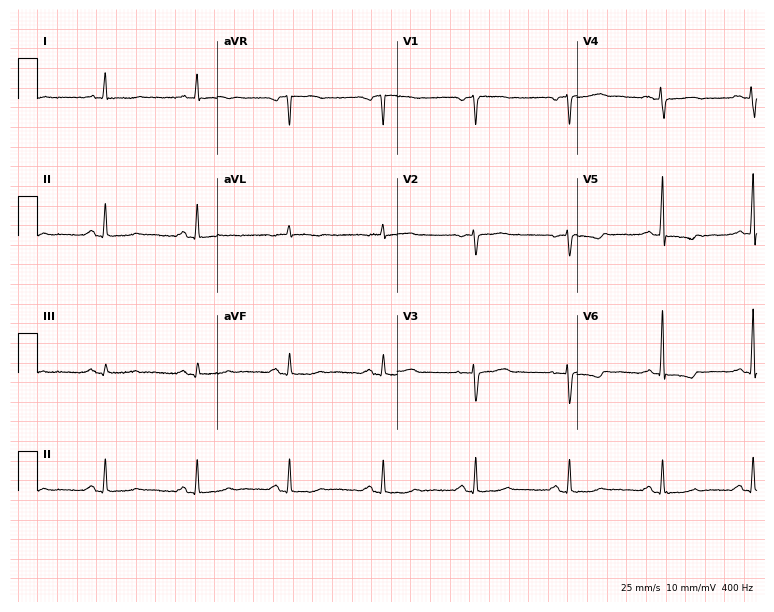
ECG — a 55-year-old female patient. Screened for six findings — first-degree AV block, right bundle branch block, left bundle branch block, sinus bradycardia, atrial fibrillation, sinus tachycardia — none is recorded.